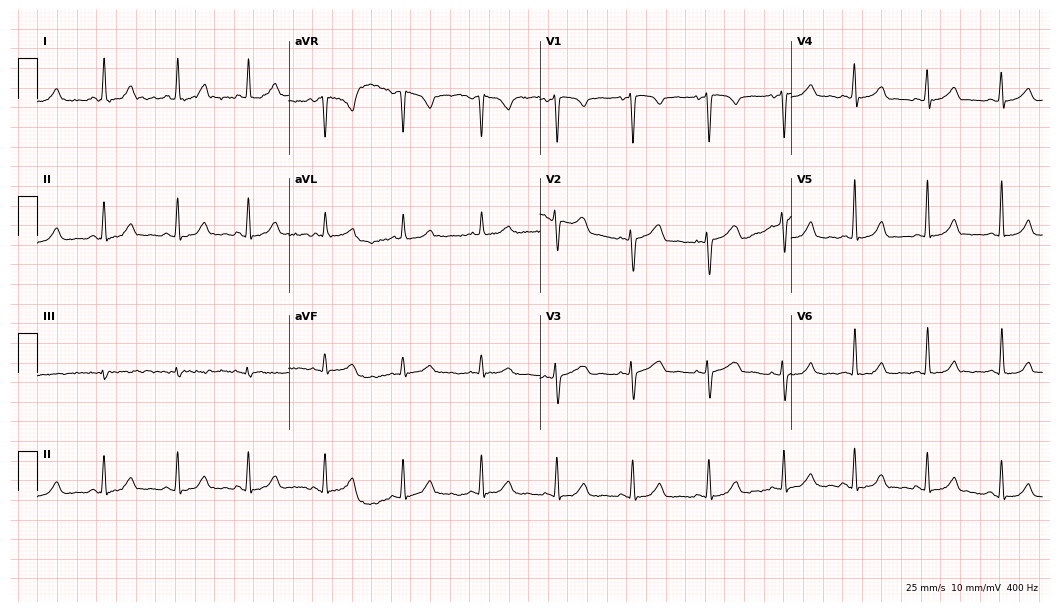
ECG — a 40-year-old woman. Labelled as a normal ECG.